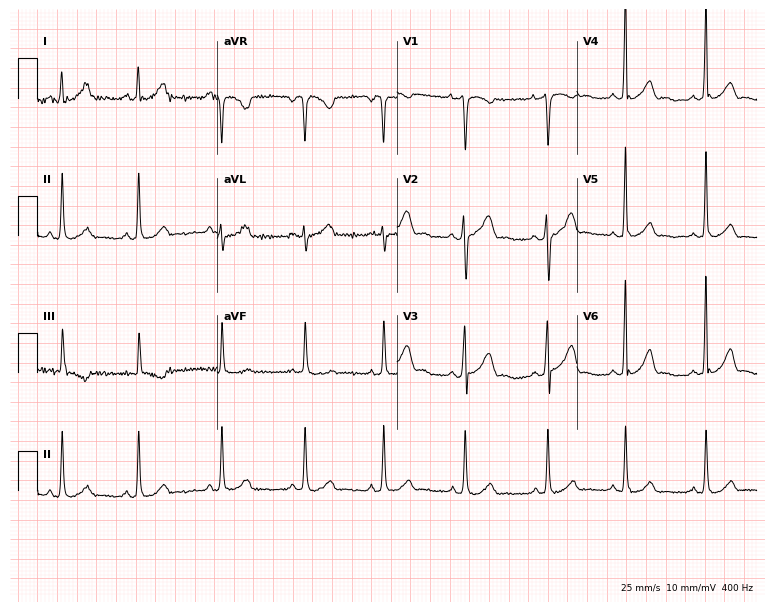
Electrocardiogram (7.3-second recording at 400 Hz), a 21-year-old female patient. Of the six screened findings (first-degree AV block, right bundle branch block (RBBB), left bundle branch block (LBBB), sinus bradycardia, atrial fibrillation (AF), sinus tachycardia), none is recorded.